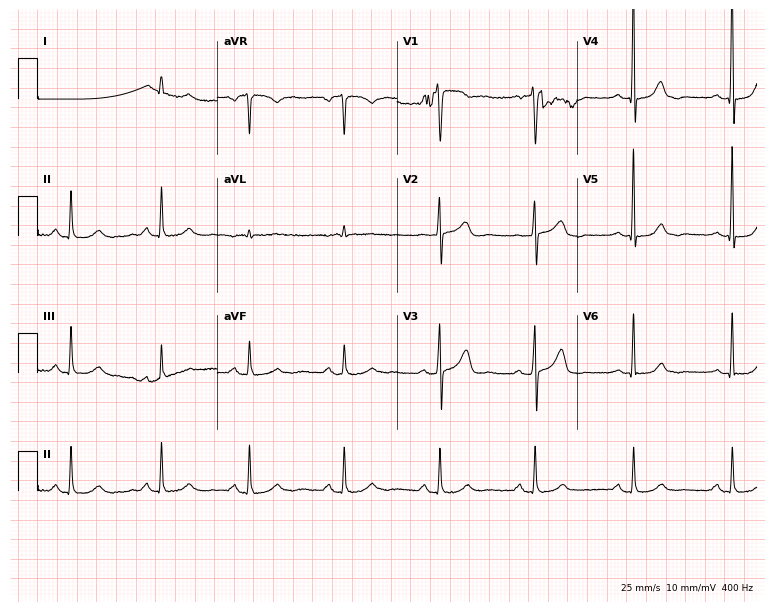
Electrocardiogram (7.3-second recording at 400 Hz), a female patient, 53 years old. Overall reading on record: normal ECG.